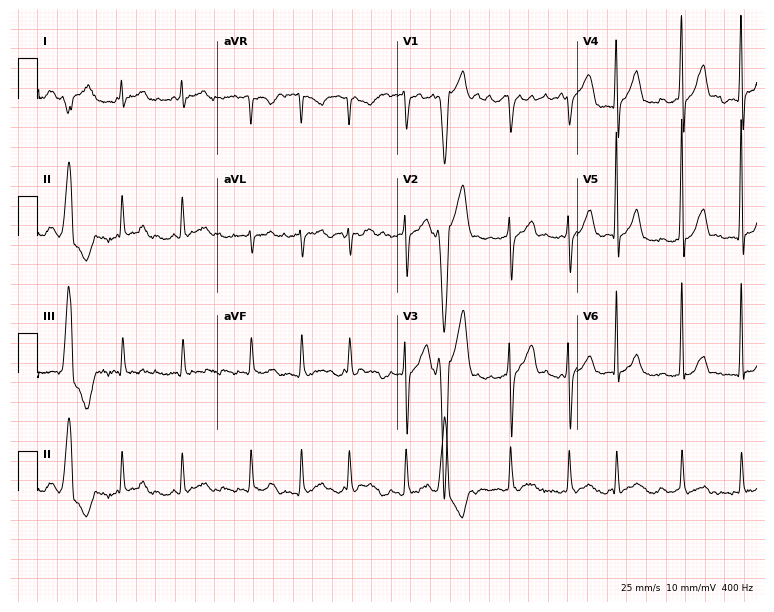
Resting 12-lead electrocardiogram (7.3-second recording at 400 Hz). Patient: a 47-year-old male. None of these six findings is recorded: first-degree AV block, right bundle branch block, left bundle branch block, sinus bradycardia, atrial fibrillation, sinus tachycardia.